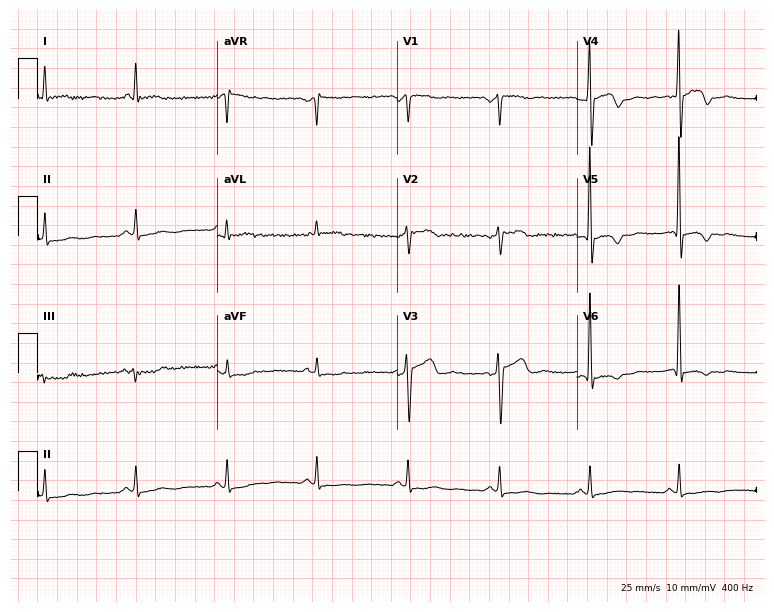
Resting 12-lead electrocardiogram (7.3-second recording at 400 Hz). Patient: a 69-year-old man. None of these six findings is recorded: first-degree AV block, right bundle branch block, left bundle branch block, sinus bradycardia, atrial fibrillation, sinus tachycardia. Only these six findings were labelled.